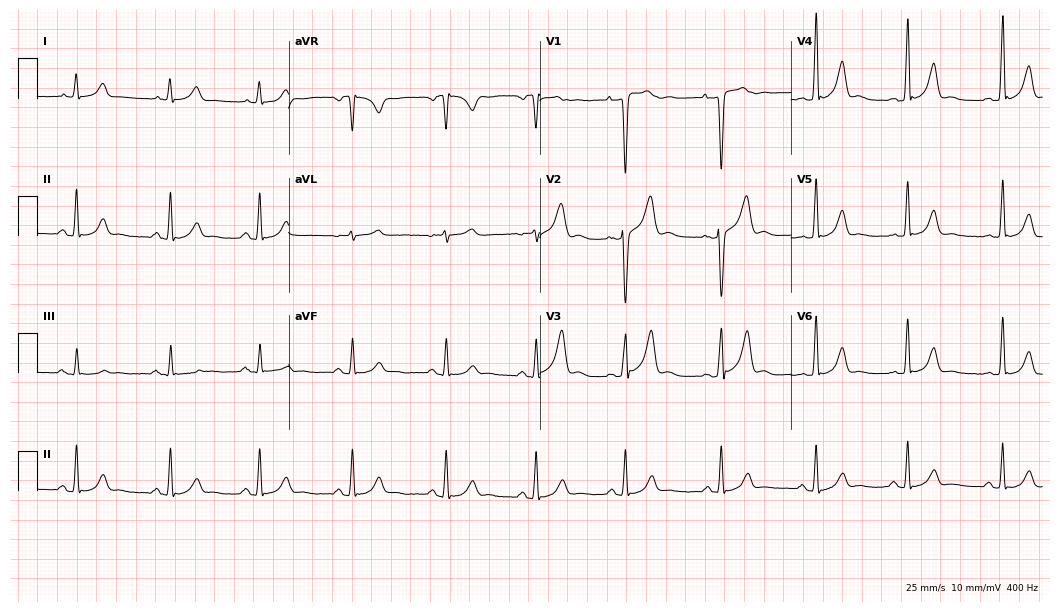
Electrocardiogram, a man, 39 years old. Overall reading on record: normal ECG.